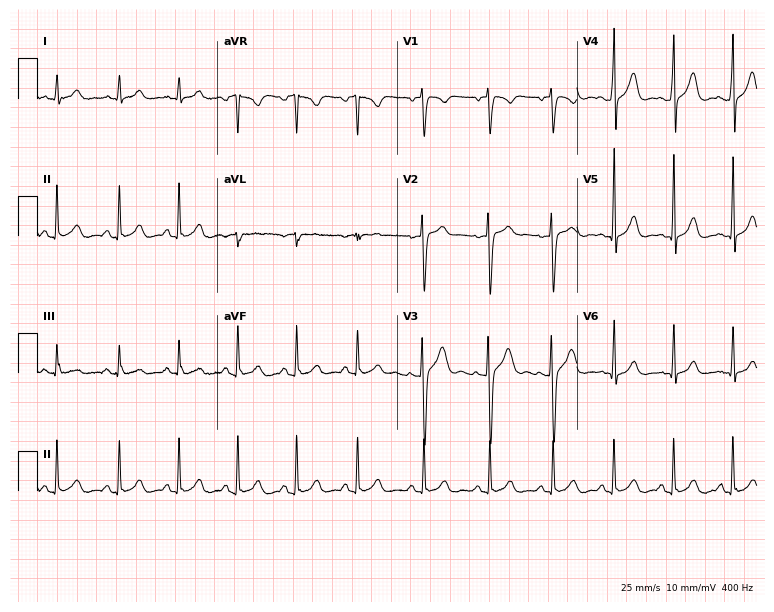
ECG — a 19-year-old male patient. Labelled as a normal ECG.